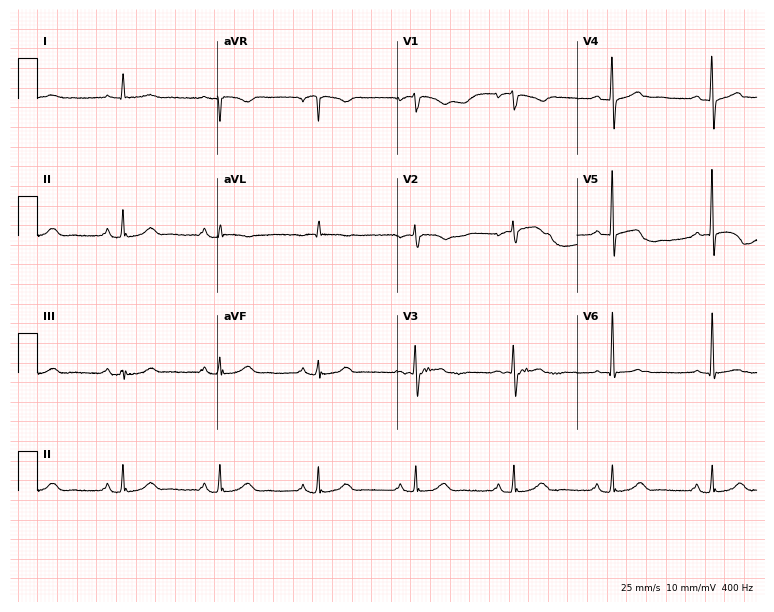
ECG — an 80-year-old male patient. Screened for six findings — first-degree AV block, right bundle branch block, left bundle branch block, sinus bradycardia, atrial fibrillation, sinus tachycardia — none is recorded.